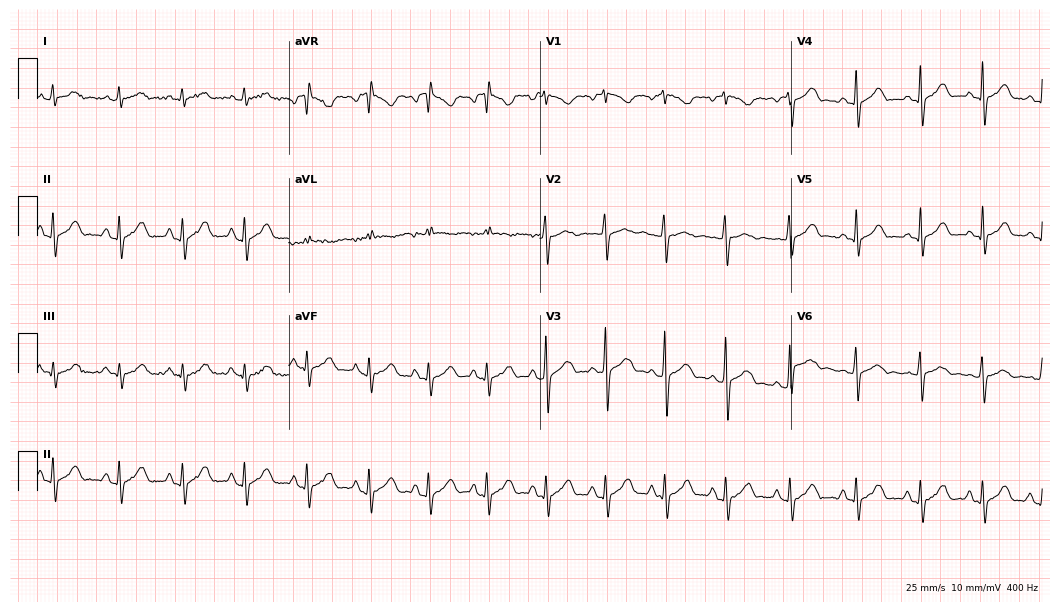
Electrocardiogram (10.2-second recording at 400 Hz), a 17-year-old woman. Of the six screened findings (first-degree AV block, right bundle branch block (RBBB), left bundle branch block (LBBB), sinus bradycardia, atrial fibrillation (AF), sinus tachycardia), none is recorded. Findings outside these six are not listed.